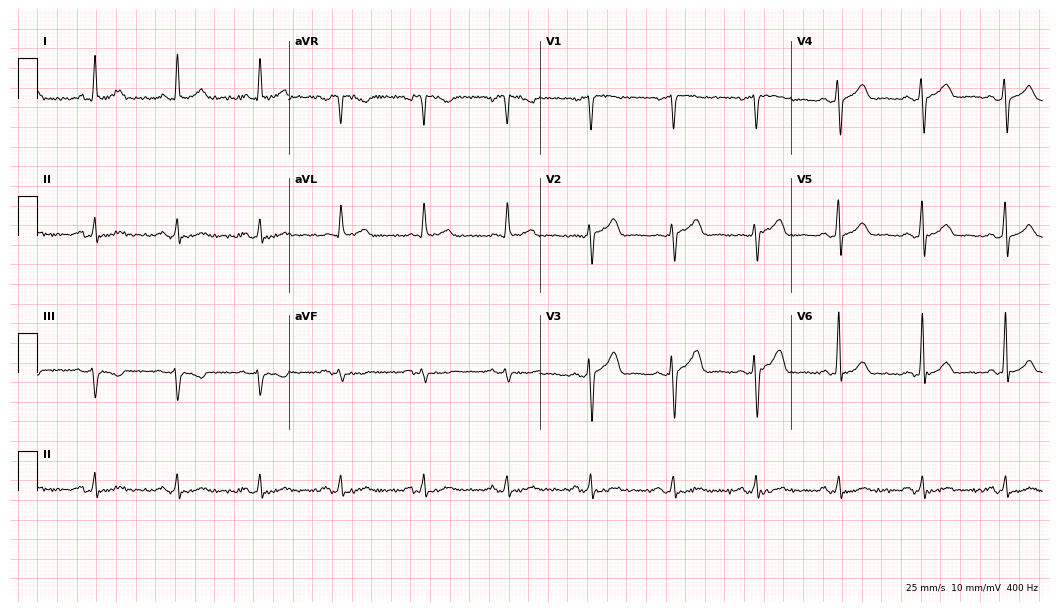
Resting 12-lead electrocardiogram. Patient: a 62-year-old man. None of these six findings is recorded: first-degree AV block, right bundle branch block, left bundle branch block, sinus bradycardia, atrial fibrillation, sinus tachycardia.